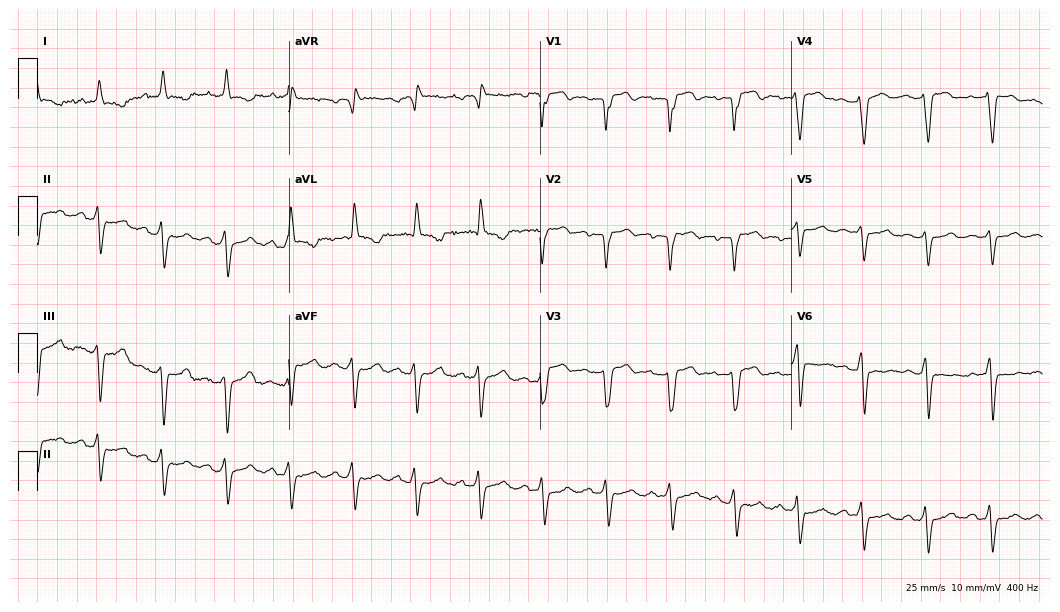
ECG — a 68-year-old man. Screened for six findings — first-degree AV block, right bundle branch block (RBBB), left bundle branch block (LBBB), sinus bradycardia, atrial fibrillation (AF), sinus tachycardia — none is recorded. Findings outside these six are not listed.